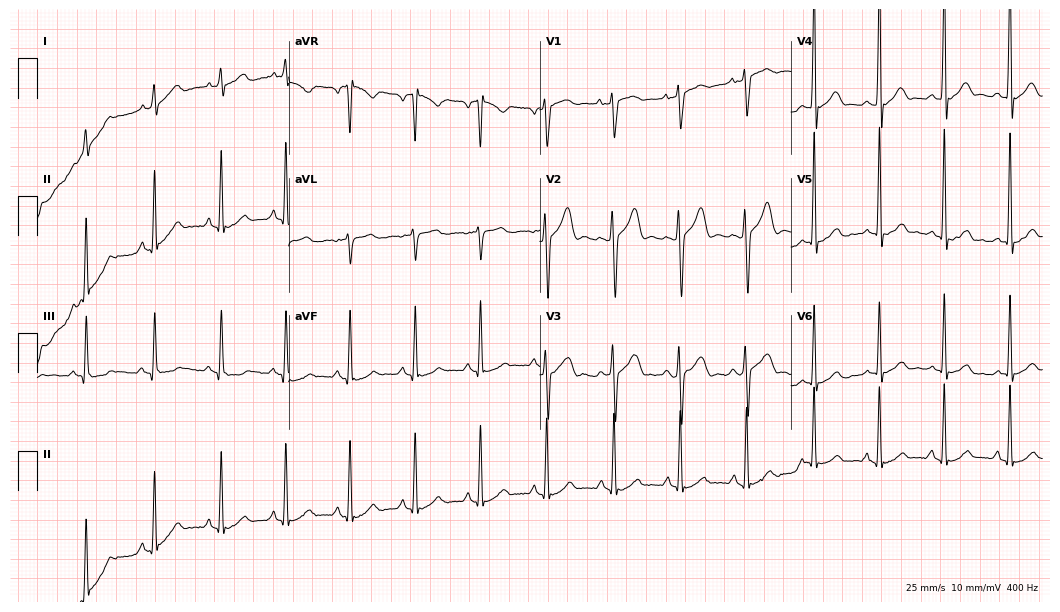
Electrocardiogram (10.2-second recording at 400 Hz), a 17-year-old male patient. Of the six screened findings (first-degree AV block, right bundle branch block (RBBB), left bundle branch block (LBBB), sinus bradycardia, atrial fibrillation (AF), sinus tachycardia), none is recorded.